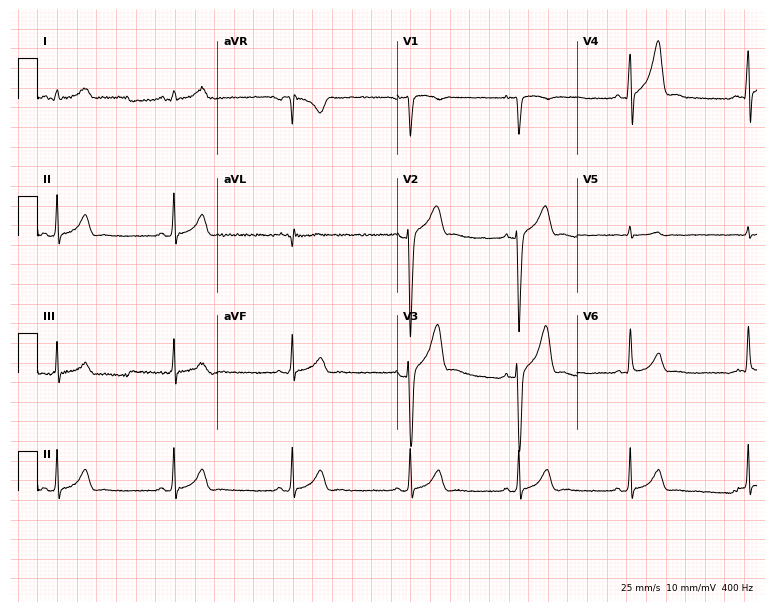
12-lead ECG (7.3-second recording at 400 Hz) from a male, 40 years old. Labelled as a normal ECG.